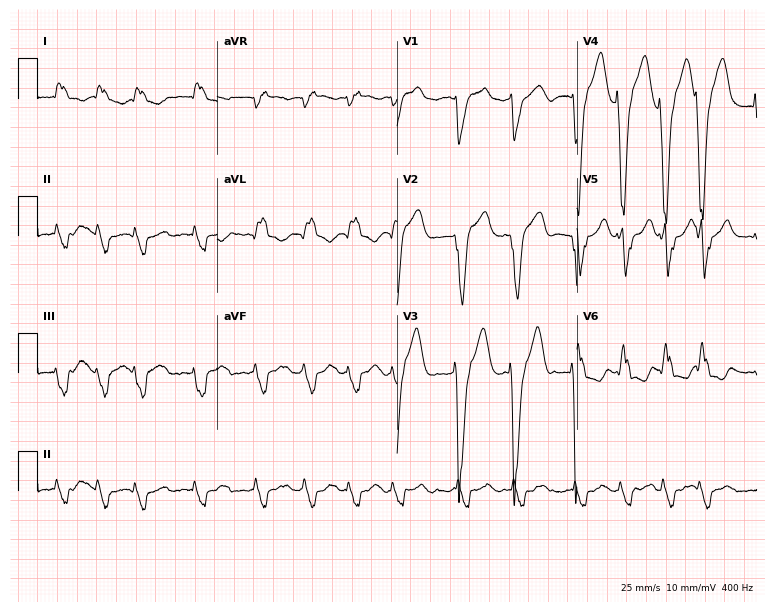
Resting 12-lead electrocardiogram. Patient: a woman, 80 years old. None of these six findings is recorded: first-degree AV block, right bundle branch block, left bundle branch block, sinus bradycardia, atrial fibrillation, sinus tachycardia. Other findings, if any, are not listed.